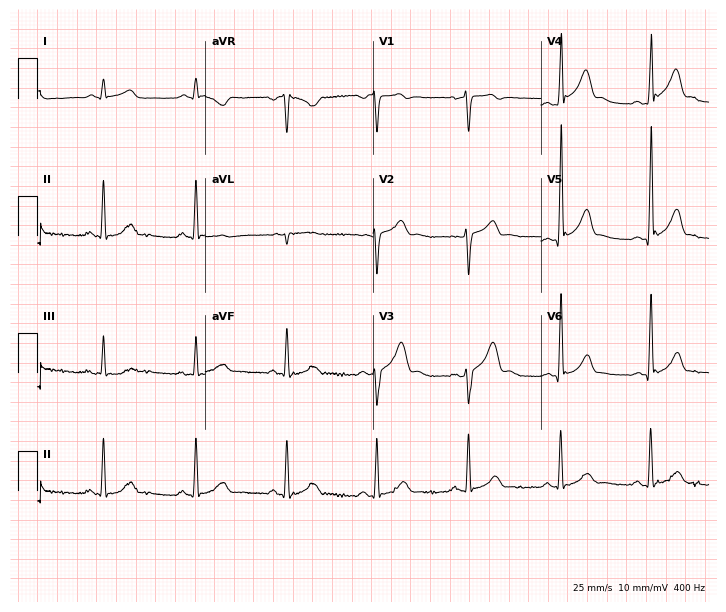
ECG — a 37-year-old male. Labelled as a normal ECG.